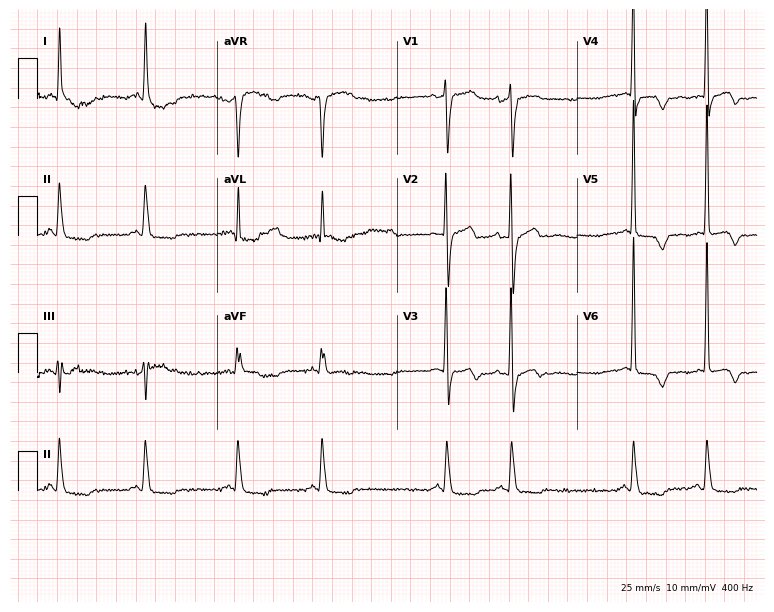
ECG — a 72-year-old woman. Screened for six findings — first-degree AV block, right bundle branch block, left bundle branch block, sinus bradycardia, atrial fibrillation, sinus tachycardia — none is recorded. Findings outside these six are not listed.